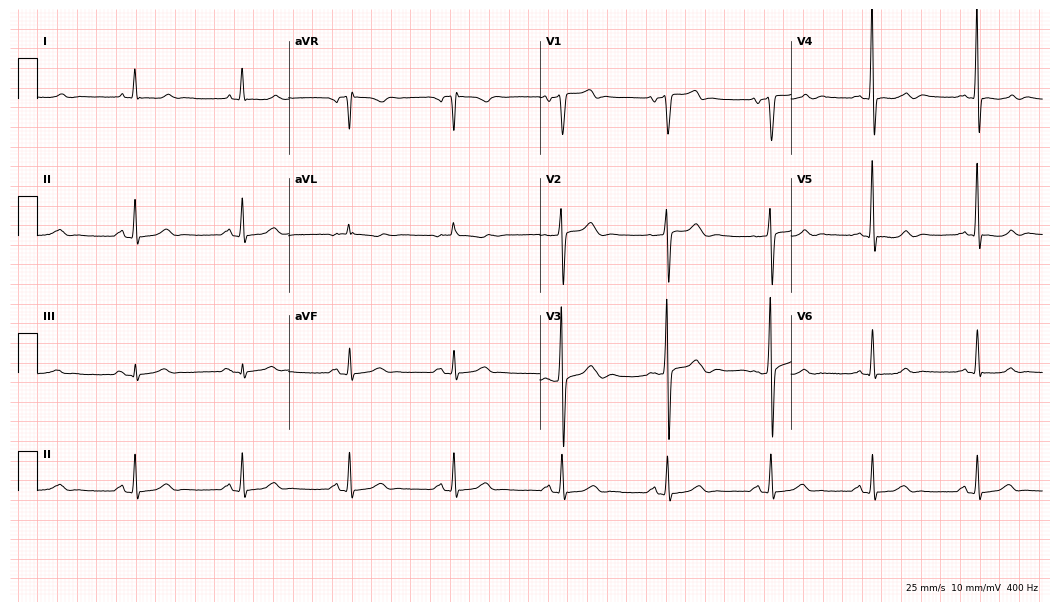
ECG (10.2-second recording at 400 Hz) — a male patient, 71 years old. Labelled as a normal ECG.